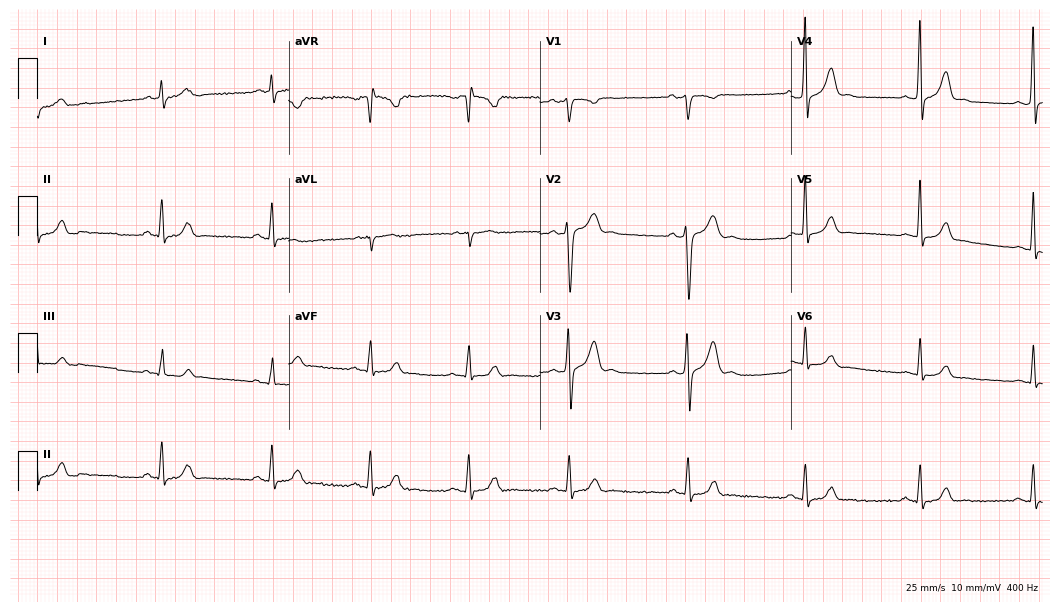
Standard 12-lead ECG recorded from a male patient, 22 years old (10.2-second recording at 400 Hz). None of these six findings is recorded: first-degree AV block, right bundle branch block, left bundle branch block, sinus bradycardia, atrial fibrillation, sinus tachycardia. Only these six findings were labelled.